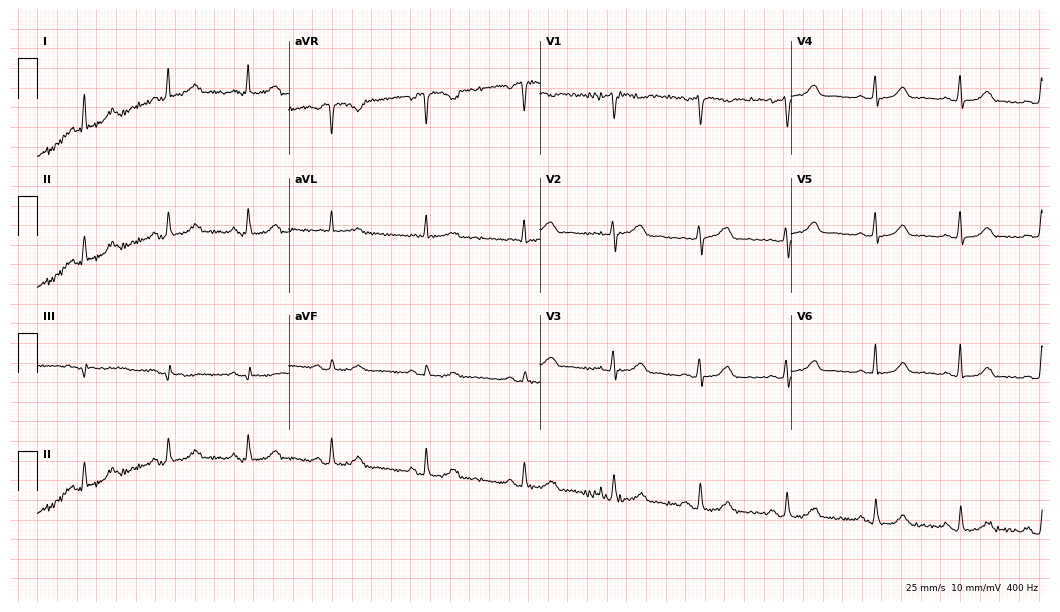
Resting 12-lead electrocardiogram (10.2-second recording at 400 Hz). Patient: a female, 51 years old. Read as a normal ECG.